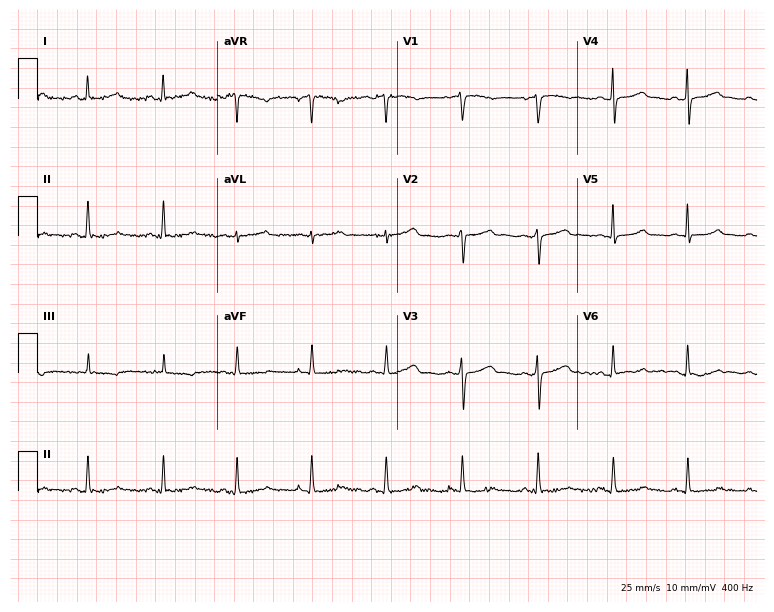
Electrocardiogram, a 40-year-old female patient. Of the six screened findings (first-degree AV block, right bundle branch block, left bundle branch block, sinus bradycardia, atrial fibrillation, sinus tachycardia), none is recorded.